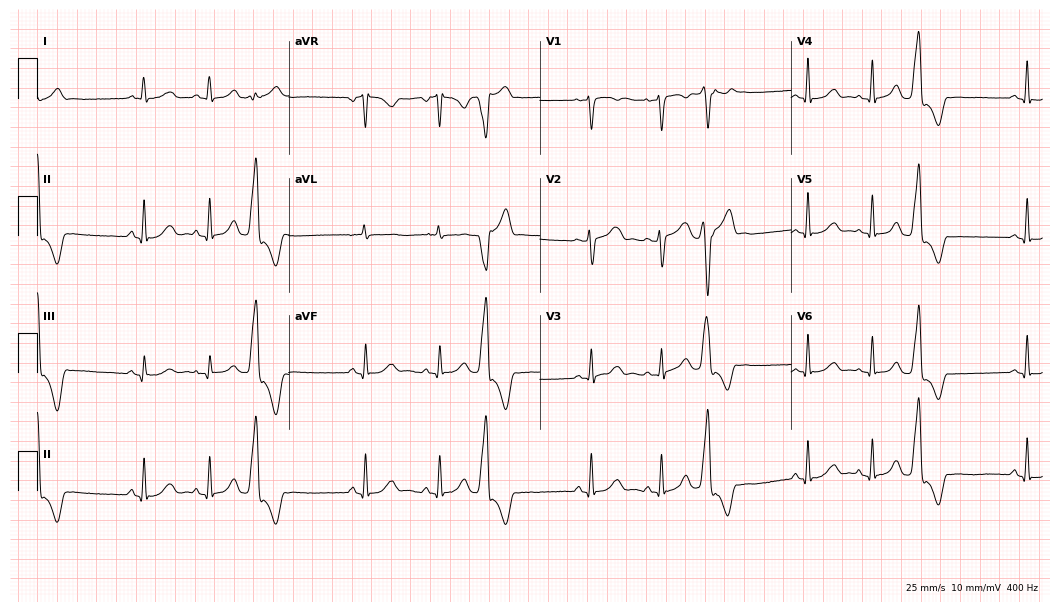
Electrocardiogram, a 38-year-old female. Of the six screened findings (first-degree AV block, right bundle branch block (RBBB), left bundle branch block (LBBB), sinus bradycardia, atrial fibrillation (AF), sinus tachycardia), none is recorded. Only these six findings were labelled.